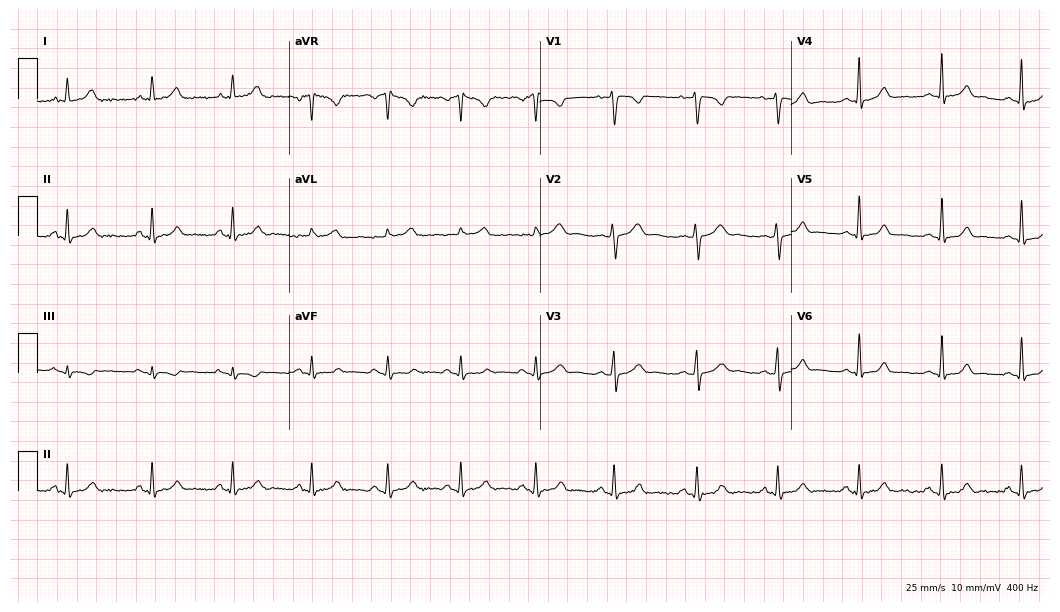
12-lead ECG from a 21-year-old female patient. Screened for six findings — first-degree AV block, right bundle branch block (RBBB), left bundle branch block (LBBB), sinus bradycardia, atrial fibrillation (AF), sinus tachycardia — none is recorded.